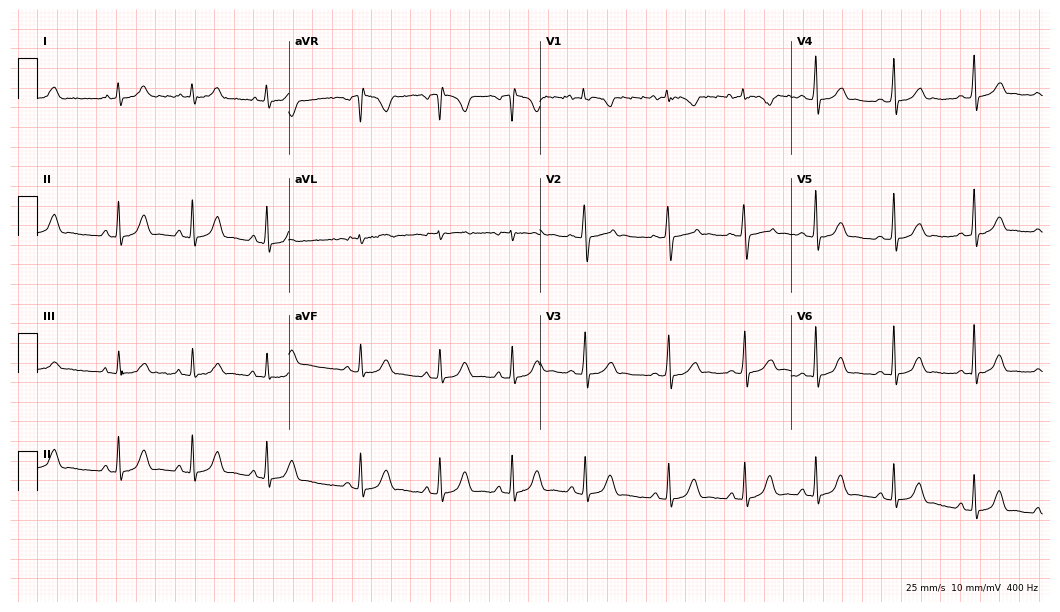
12-lead ECG from an 18-year-old female. No first-degree AV block, right bundle branch block (RBBB), left bundle branch block (LBBB), sinus bradycardia, atrial fibrillation (AF) or sinus tachycardia recorded for this tracing.